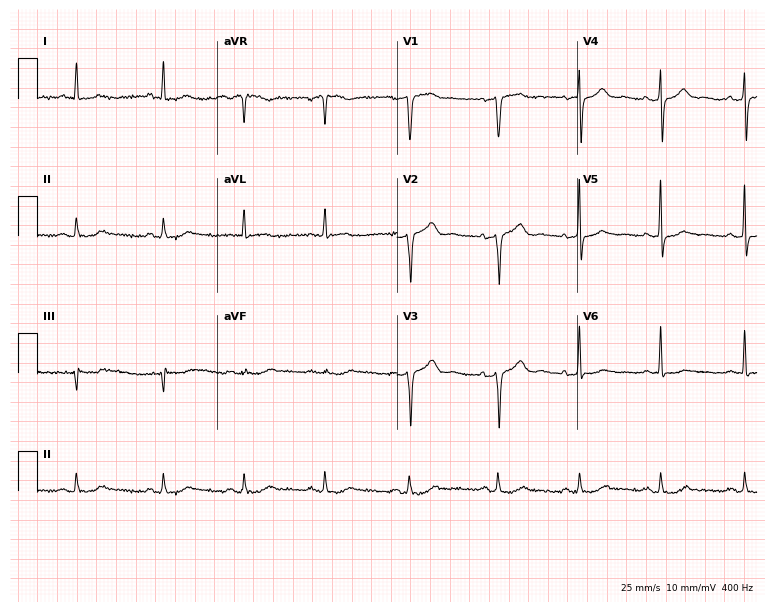
Electrocardiogram (7.3-second recording at 400 Hz), a 70-year-old woman. Overall reading on record: normal ECG.